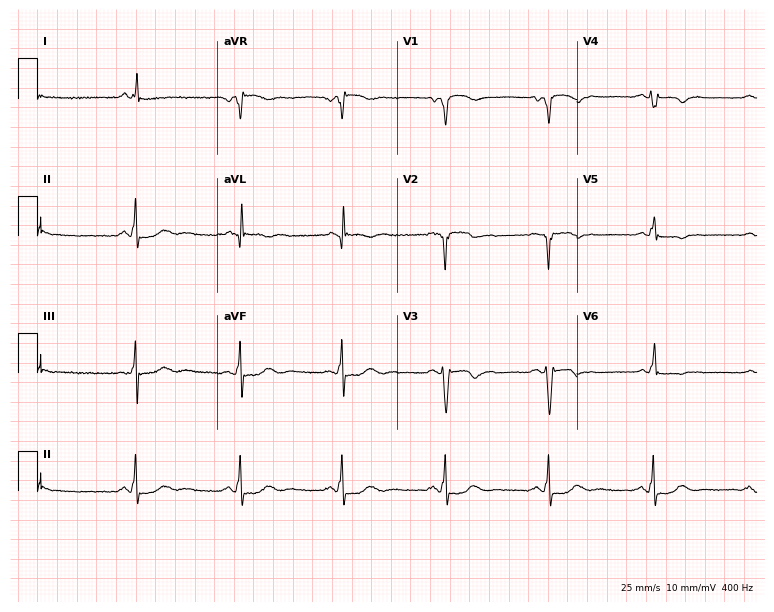
12-lead ECG (7.3-second recording at 400 Hz) from a female patient, 55 years old. Screened for six findings — first-degree AV block, right bundle branch block (RBBB), left bundle branch block (LBBB), sinus bradycardia, atrial fibrillation (AF), sinus tachycardia — none is recorded.